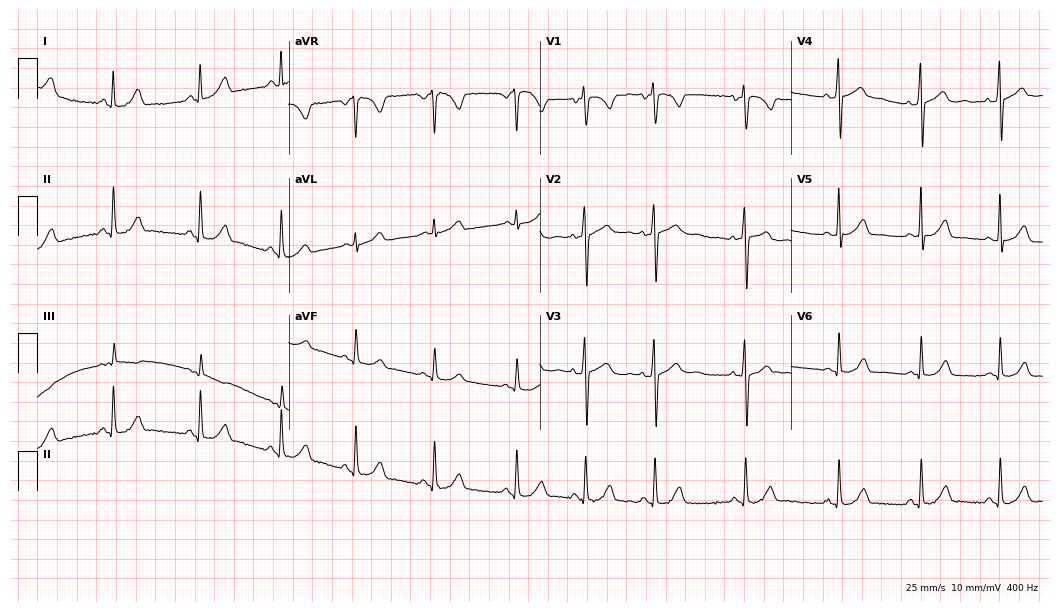
ECG — a female, 21 years old. Labelled as a normal ECG.